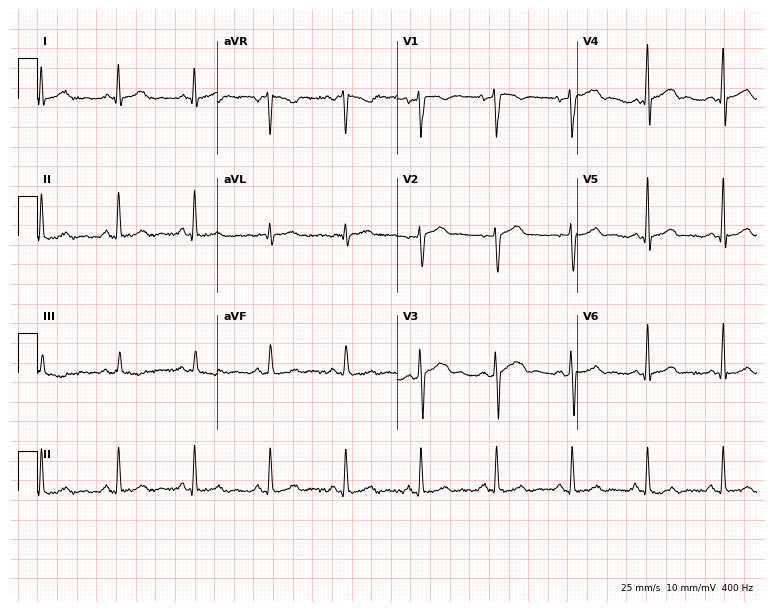
Standard 12-lead ECG recorded from a male, 56 years old. Read as a normal ECG.